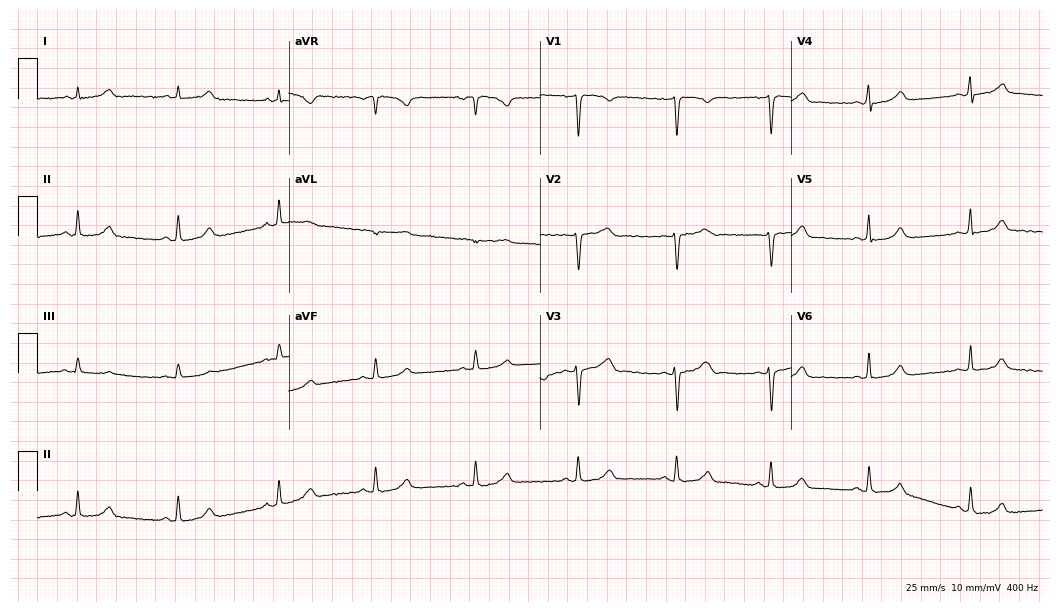
Electrocardiogram (10.2-second recording at 400 Hz), a male, 29 years old. Overall reading on record: normal ECG.